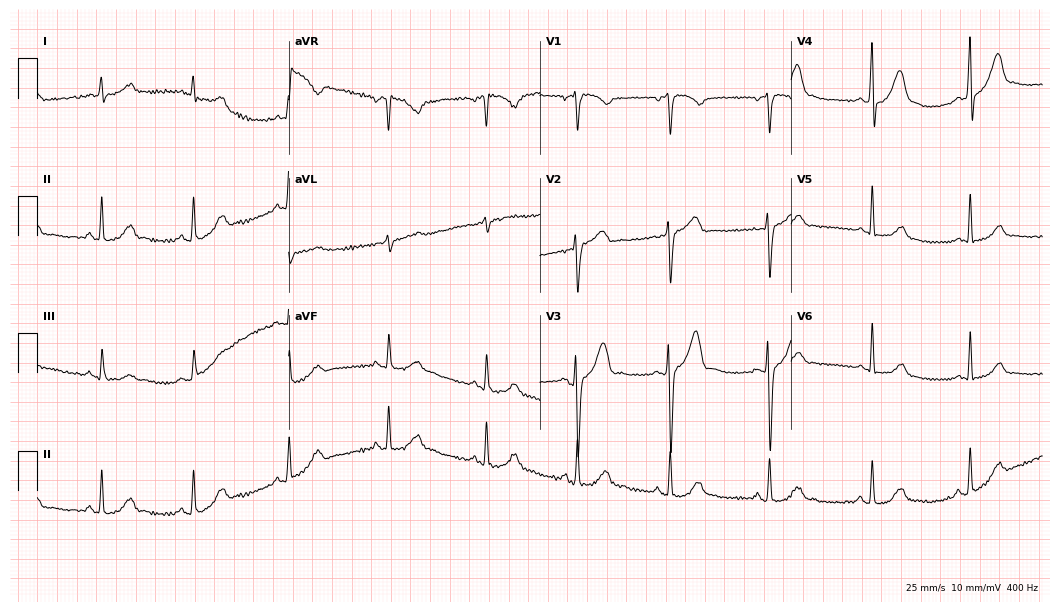
Electrocardiogram, a 36-year-old male. Overall reading on record: normal ECG.